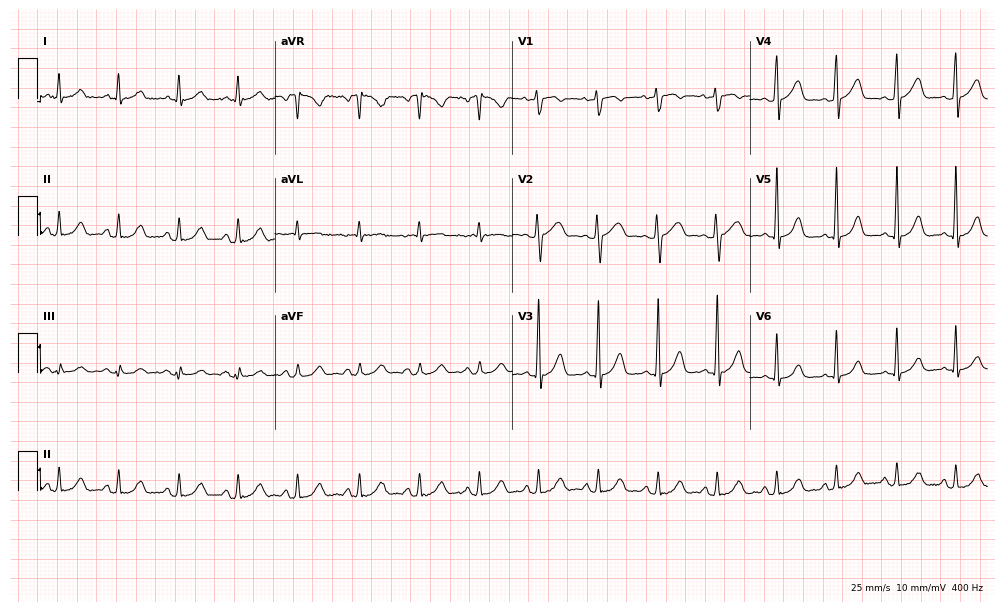
12-lead ECG (9.7-second recording at 400 Hz) from a 61-year-old female patient. Labelled as a normal ECG.